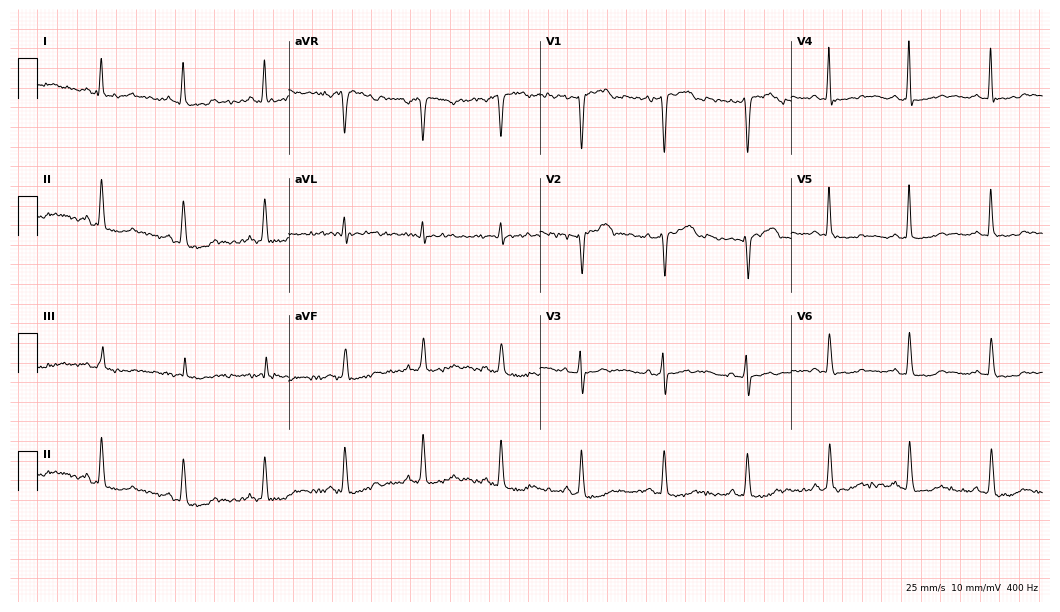
Resting 12-lead electrocardiogram (10.2-second recording at 400 Hz). Patient: a woman, 58 years old. None of these six findings is recorded: first-degree AV block, right bundle branch block, left bundle branch block, sinus bradycardia, atrial fibrillation, sinus tachycardia.